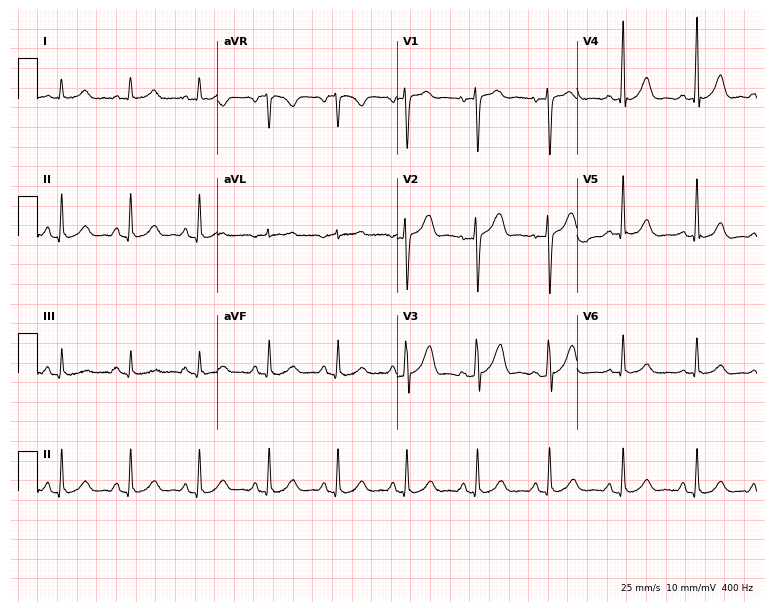
ECG — a 61-year-old male patient. Labelled as a normal ECG.